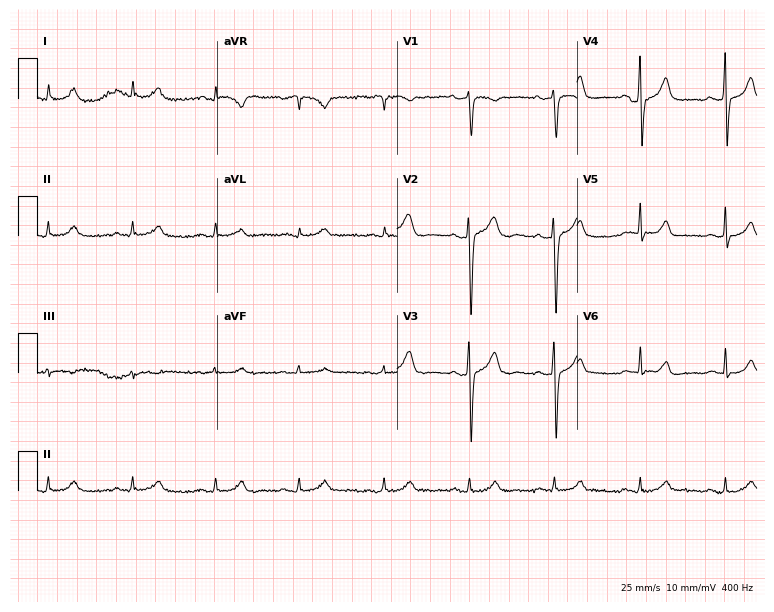
Electrocardiogram (7.3-second recording at 400 Hz), a 43-year-old man. Of the six screened findings (first-degree AV block, right bundle branch block, left bundle branch block, sinus bradycardia, atrial fibrillation, sinus tachycardia), none is recorded. Only these six findings were labelled.